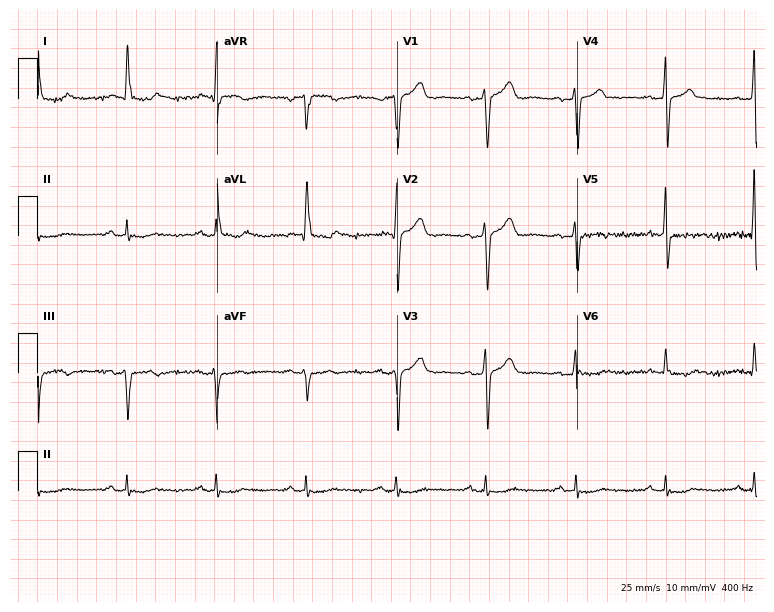
Resting 12-lead electrocardiogram. Patient: a male, 77 years old. None of these six findings is recorded: first-degree AV block, right bundle branch block, left bundle branch block, sinus bradycardia, atrial fibrillation, sinus tachycardia.